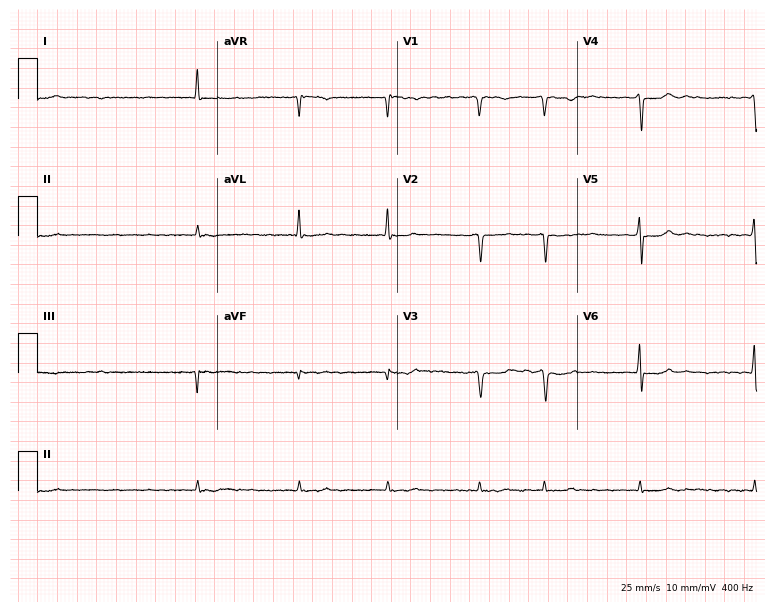
Electrocardiogram (7.3-second recording at 400 Hz), a 57-year-old man. Interpretation includes atrial fibrillation (AF).